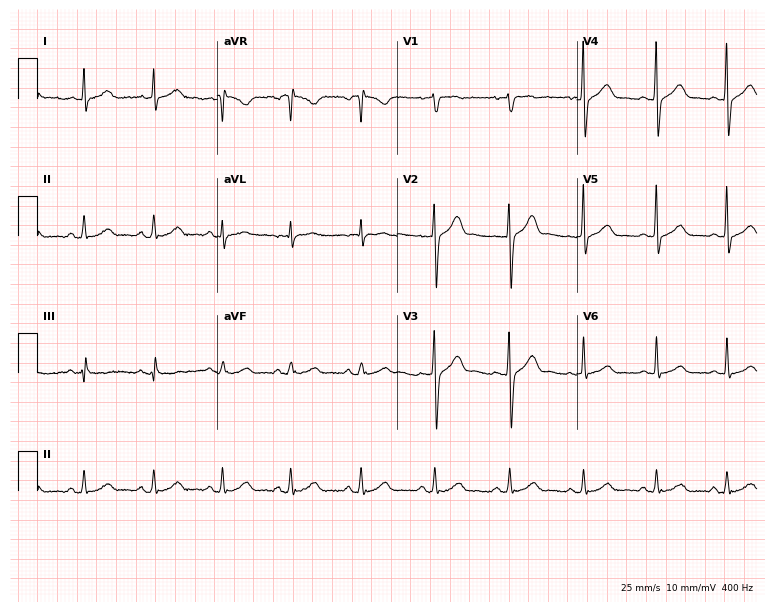
12-lead ECG from a male, 46 years old. Labelled as a normal ECG.